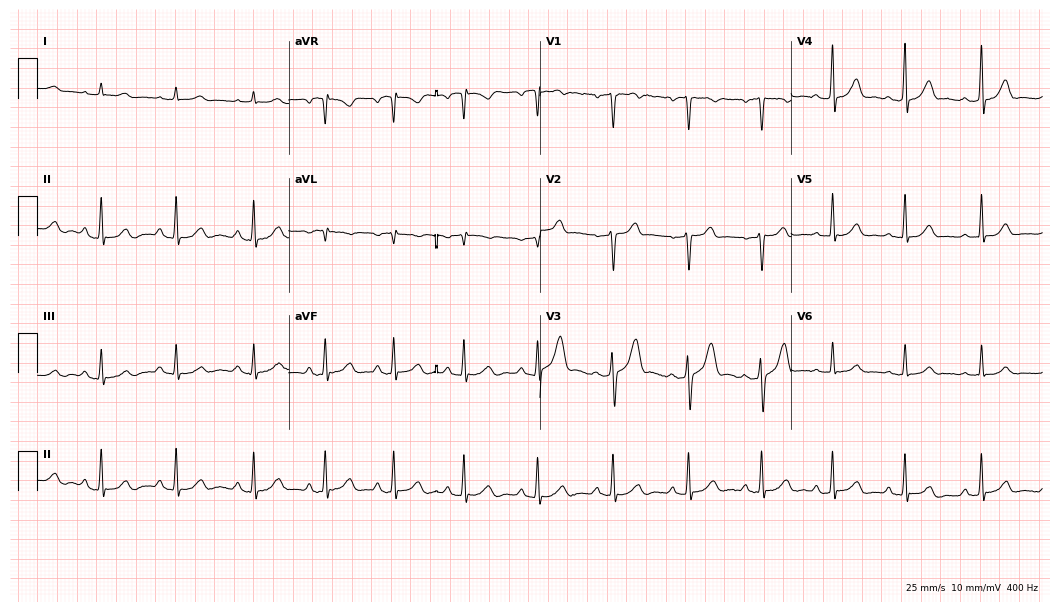
Standard 12-lead ECG recorded from a 28-year-old male patient (10.2-second recording at 400 Hz). None of these six findings is recorded: first-degree AV block, right bundle branch block (RBBB), left bundle branch block (LBBB), sinus bradycardia, atrial fibrillation (AF), sinus tachycardia. Only these six findings were labelled.